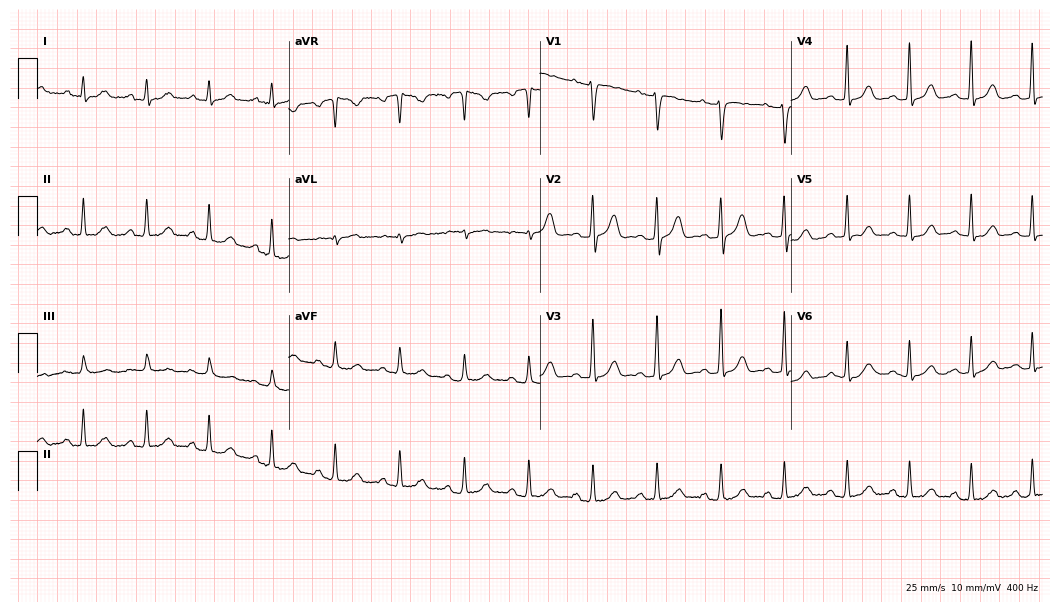
Standard 12-lead ECG recorded from a female patient, 33 years old (10.2-second recording at 400 Hz). Read as a normal ECG.